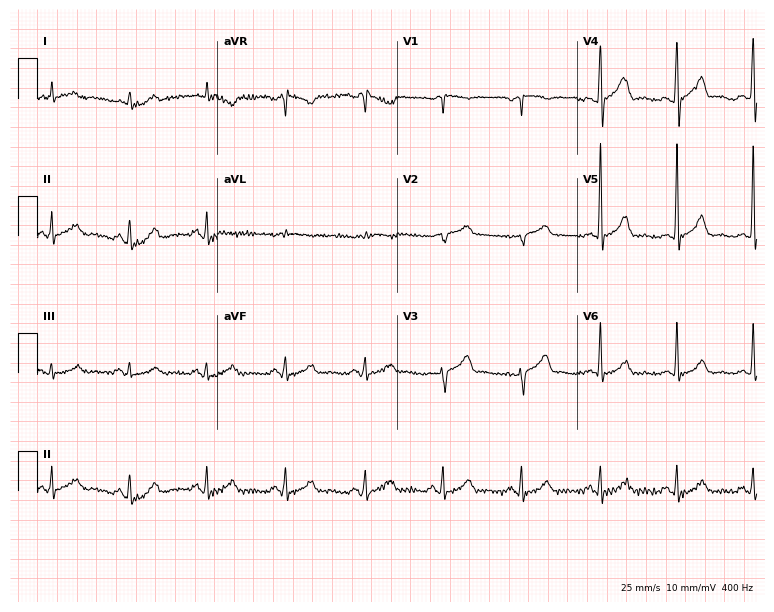
12-lead ECG from a 68-year-old male patient (7.3-second recording at 400 Hz). No first-degree AV block, right bundle branch block, left bundle branch block, sinus bradycardia, atrial fibrillation or sinus tachycardia recorded for this tracing. Other findings, if any, are not listed.